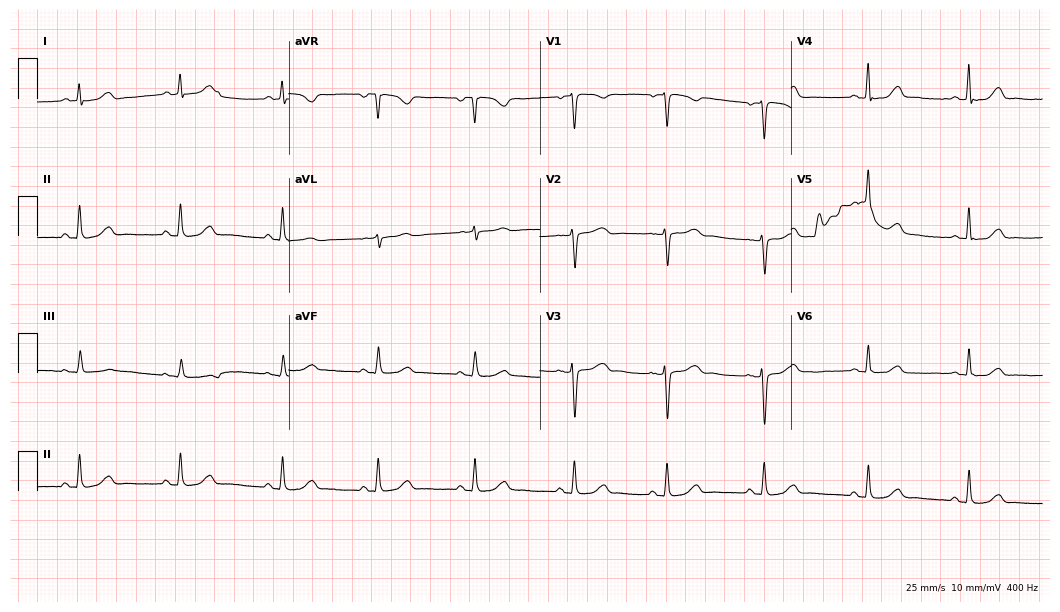
ECG (10.2-second recording at 400 Hz) — a 47-year-old woman. Labelled as a normal ECG.